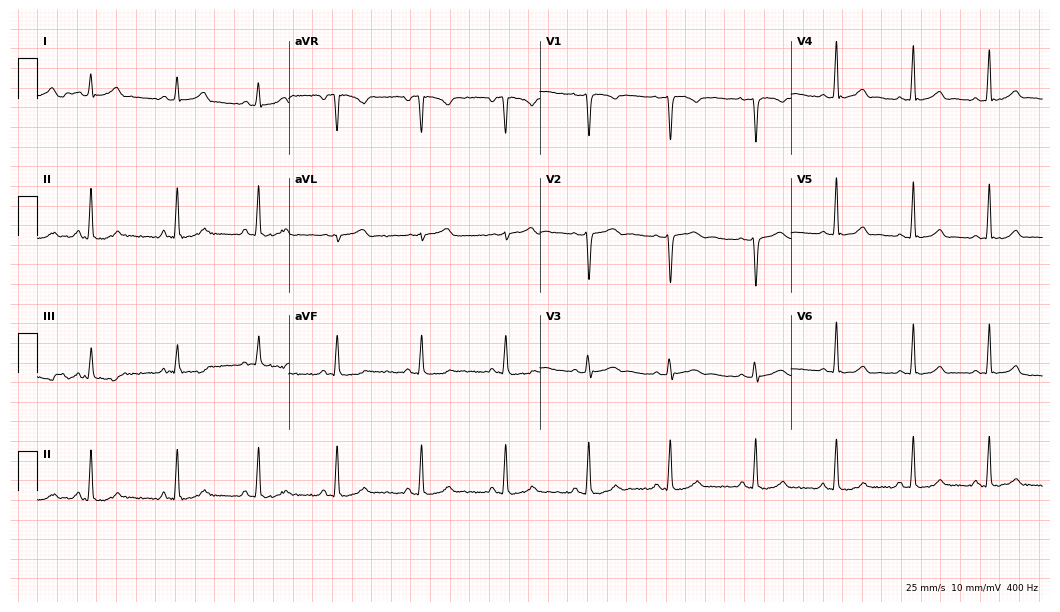
ECG — a female, 25 years old. Labelled as a normal ECG.